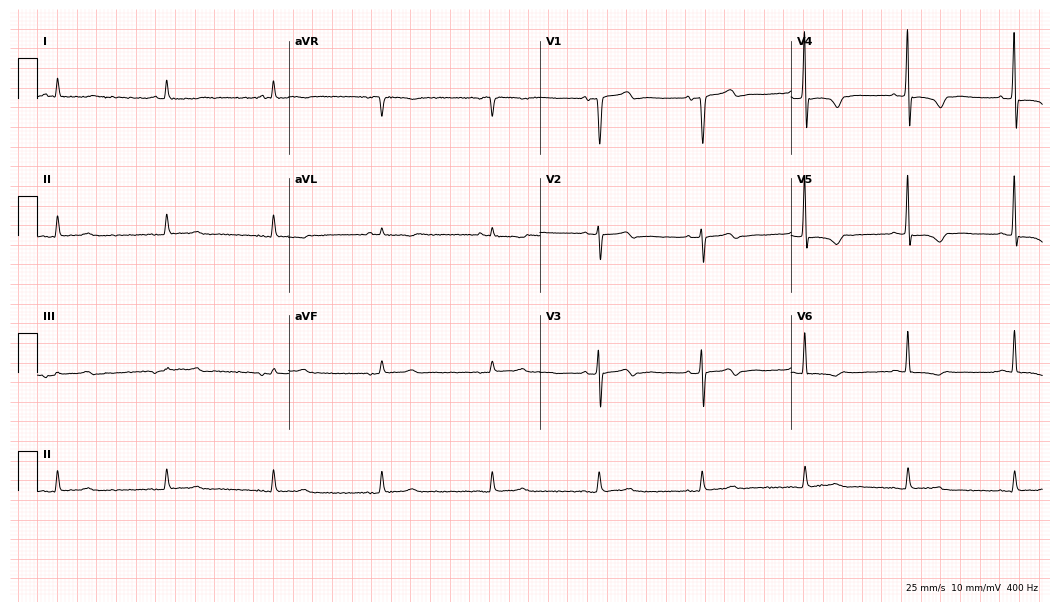
ECG — a man, 77 years old. Screened for six findings — first-degree AV block, right bundle branch block (RBBB), left bundle branch block (LBBB), sinus bradycardia, atrial fibrillation (AF), sinus tachycardia — none is recorded. Only these six findings were labelled.